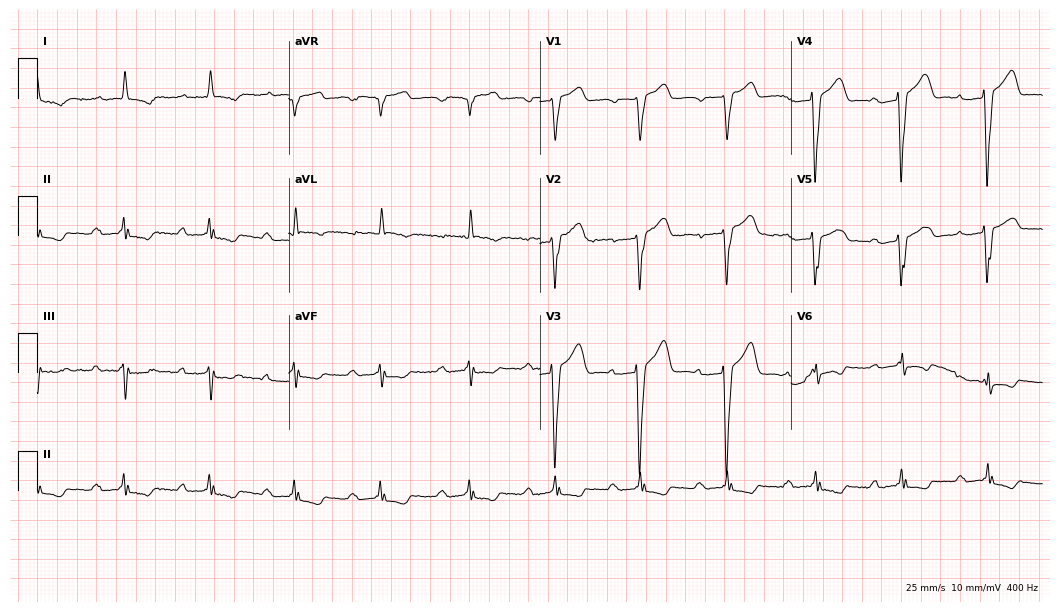
Standard 12-lead ECG recorded from a 60-year-old male patient (10.2-second recording at 400 Hz). The tracing shows first-degree AV block.